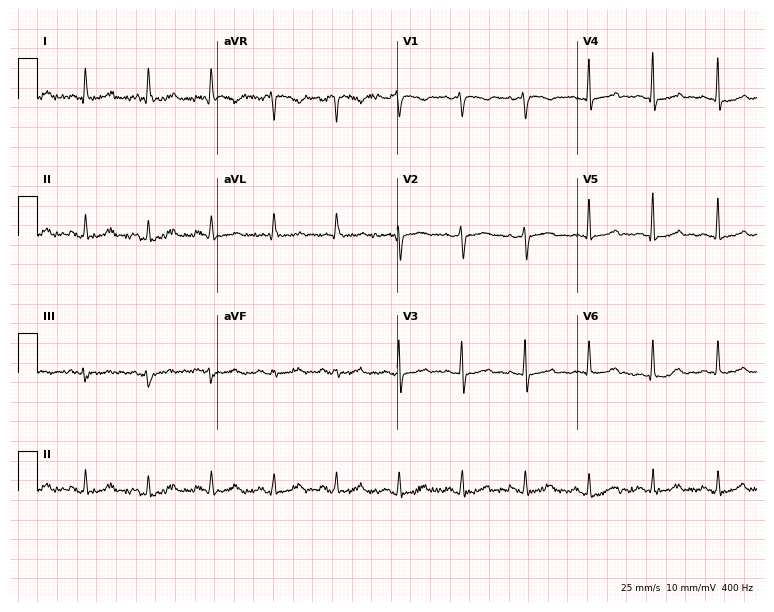
ECG — an 82-year-old female patient. Labelled as a normal ECG.